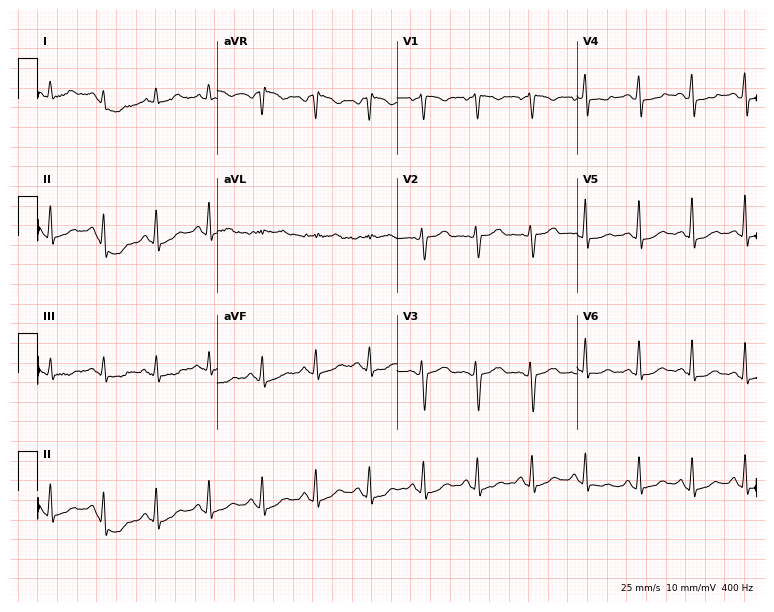
Electrocardiogram (7.3-second recording at 400 Hz), a 44-year-old female. Interpretation includes sinus tachycardia (a sinus rate of 100 beats per minute or more).